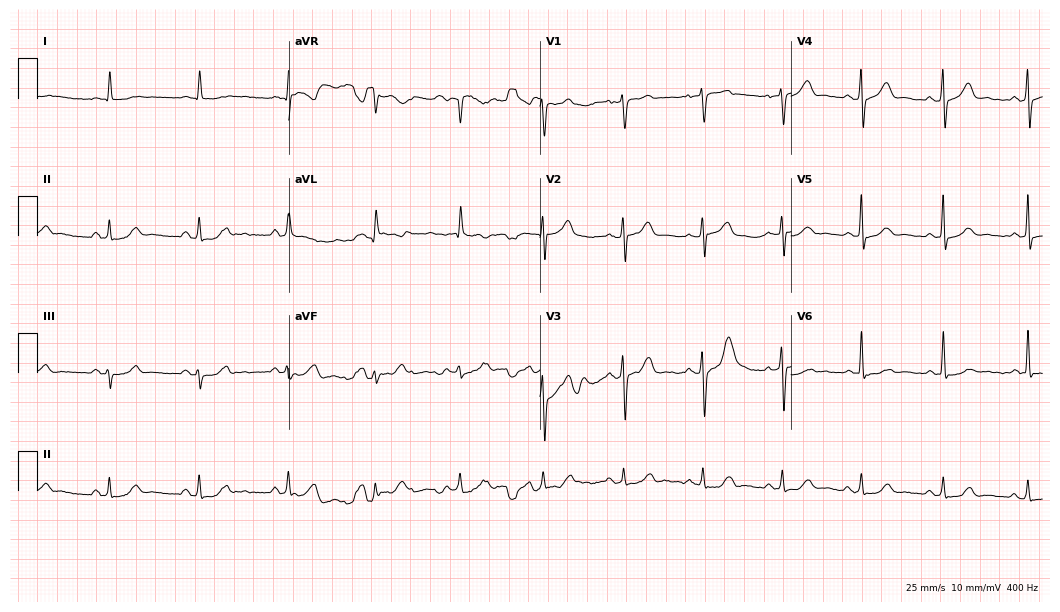
ECG (10.2-second recording at 400 Hz) — a male patient, 60 years old. Labelled as a normal ECG.